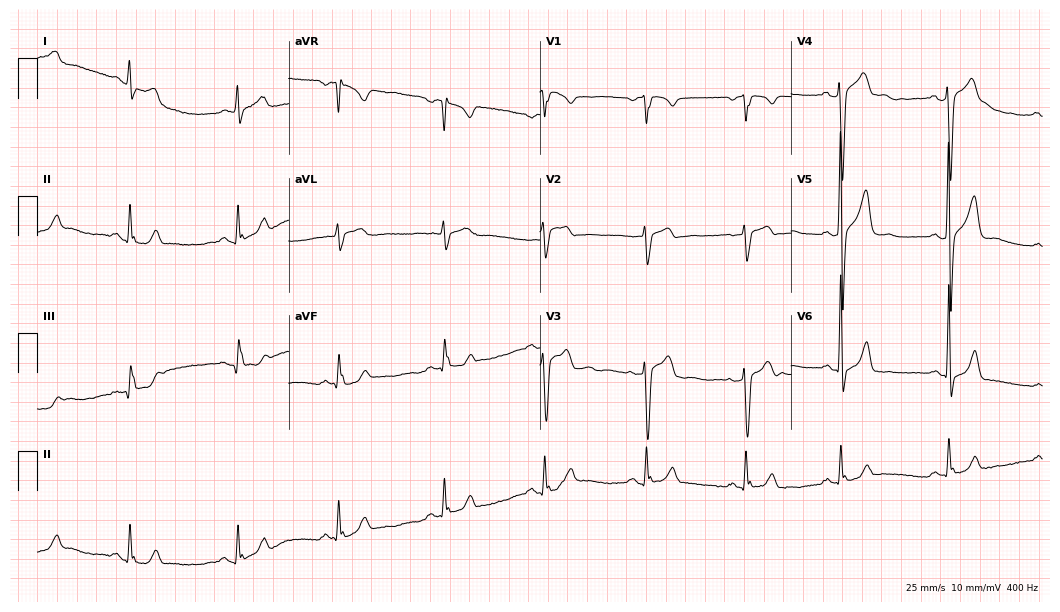
12-lead ECG (10.2-second recording at 400 Hz) from a man, 47 years old. Labelled as a normal ECG.